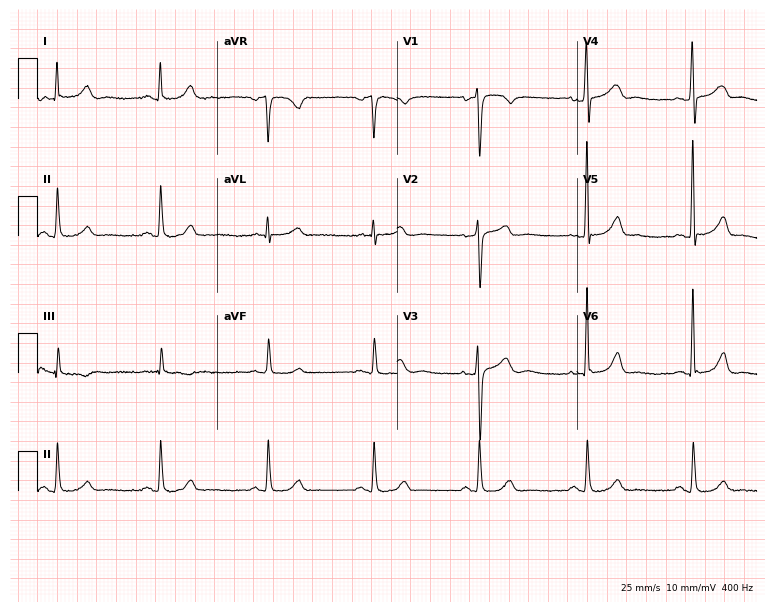
ECG (7.3-second recording at 400 Hz) — a man, 51 years old. Screened for six findings — first-degree AV block, right bundle branch block, left bundle branch block, sinus bradycardia, atrial fibrillation, sinus tachycardia — none is recorded. Findings outside these six are not listed.